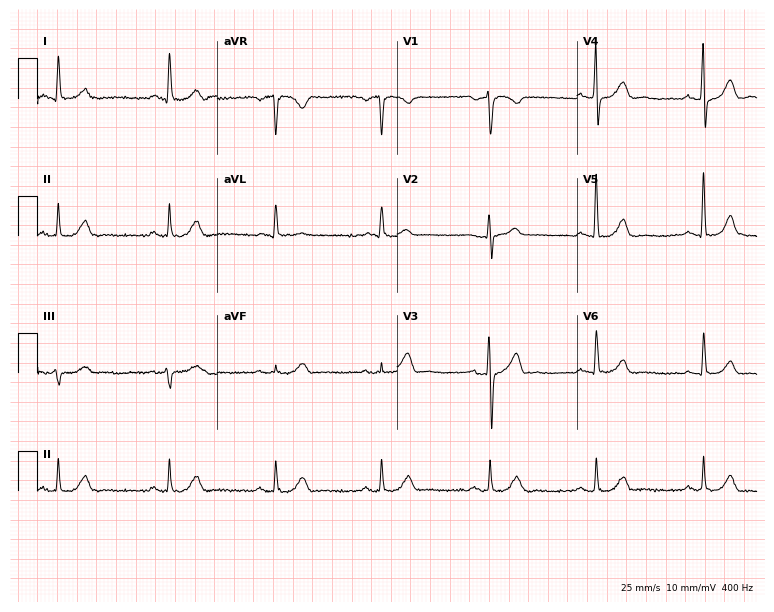
Electrocardiogram (7.3-second recording at 400 Hz), a male, 67 years old. Overall reading on record: normal ECG.